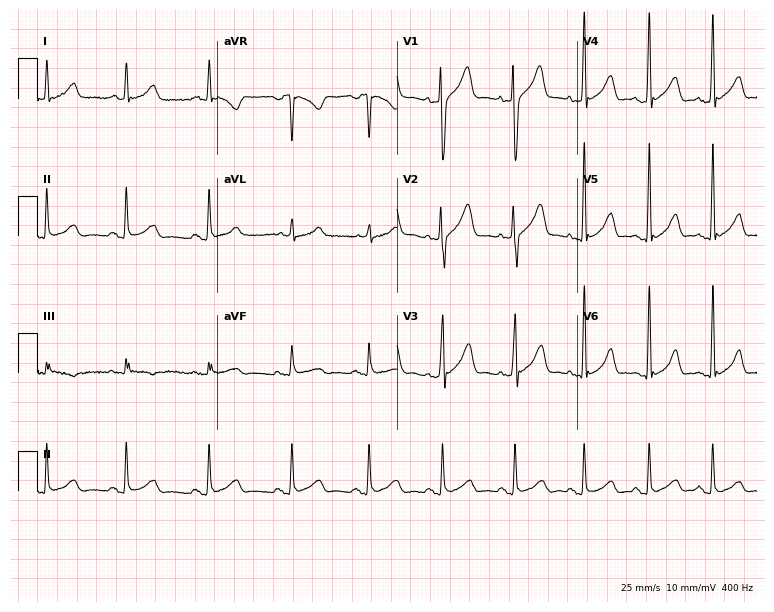
Standard 12-lead ECG recorded from a 33-year-old man (7.3-second recording at 400 Hz). Read as a normal ECG.